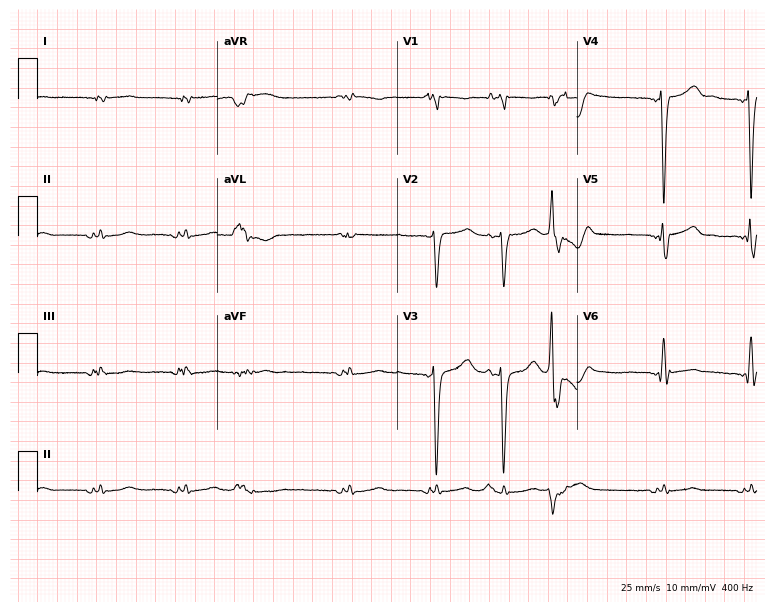
12-lead ECG from a man, 61 years old. No first-degree AV block, right bundle branch block, left bundle branch block, sinus bradycardia, atrial fibrillation or sinus tachycardia recorded for this tracing.